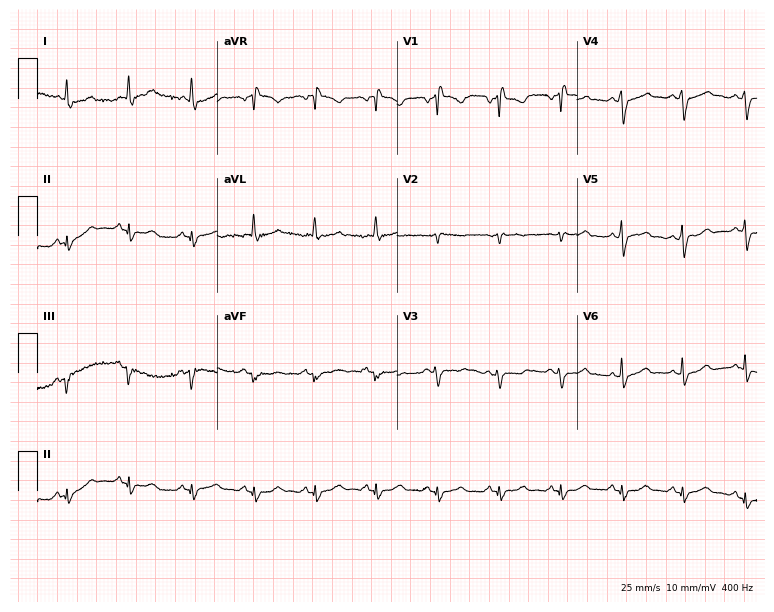
Resting 12-lead electrocardiogram (7.3-second recording at 400 Hz). Patient: a female, 29 years old. None of these six findings is recorded: first-degree AV block, right bundle branch block, left bundle branch block, sinus bradycardia, atrial fibrillation, sinus tachycardia. Only these six findings were labelled.